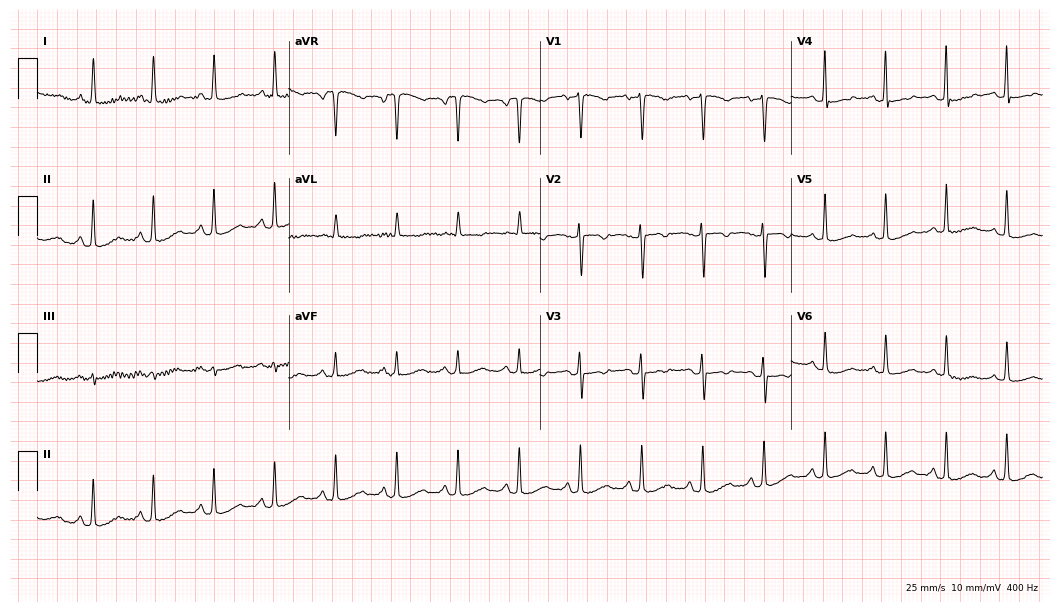
ECG — a female patient, 64 years old. Screened for six findings — first-degree AV block, right bundle branch block, left bundle branch block, sinus bradycardia, atrial fibrillation, sinus tachycardia — none is recorded.